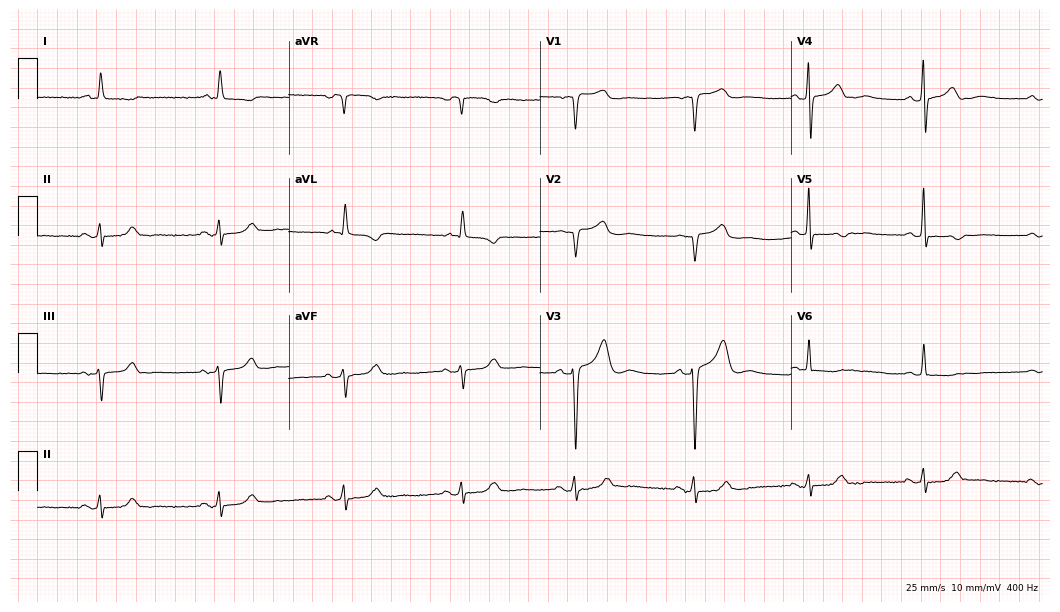
Resting 12-lead electrocardiogram. Patient: a woman, 83 years old. Read as a normal ECG.